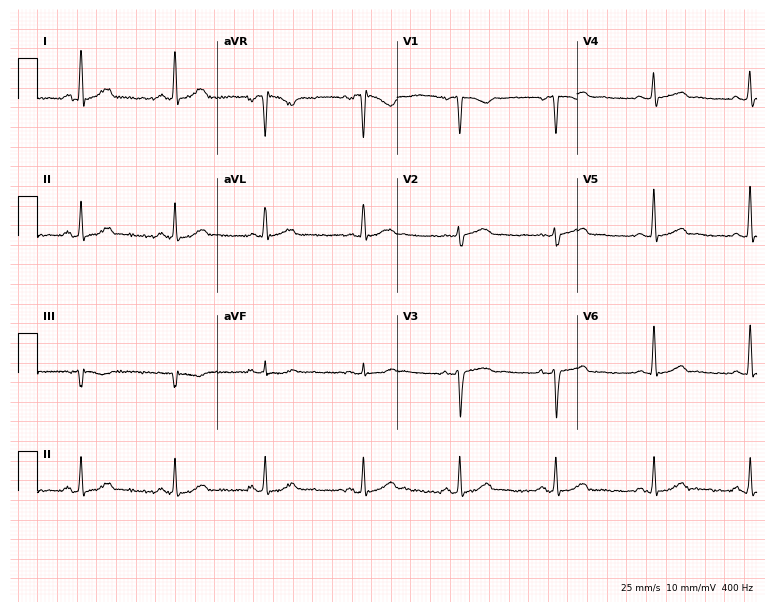
ECG — a female, 38 years old. Labelled as a normal ECG.